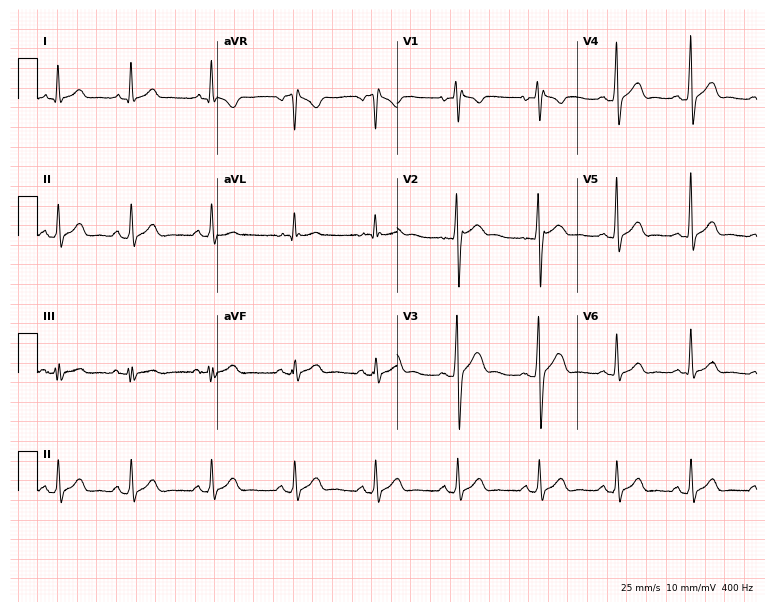
12-lead ECG from a 34-year-old man. No first-degree AV block, right bundle branch block, left bundle branch block, sinus bradycardia, atrial fibrillation or sinus tachycardia recorded for this tracing. Only these six findings were labelled.